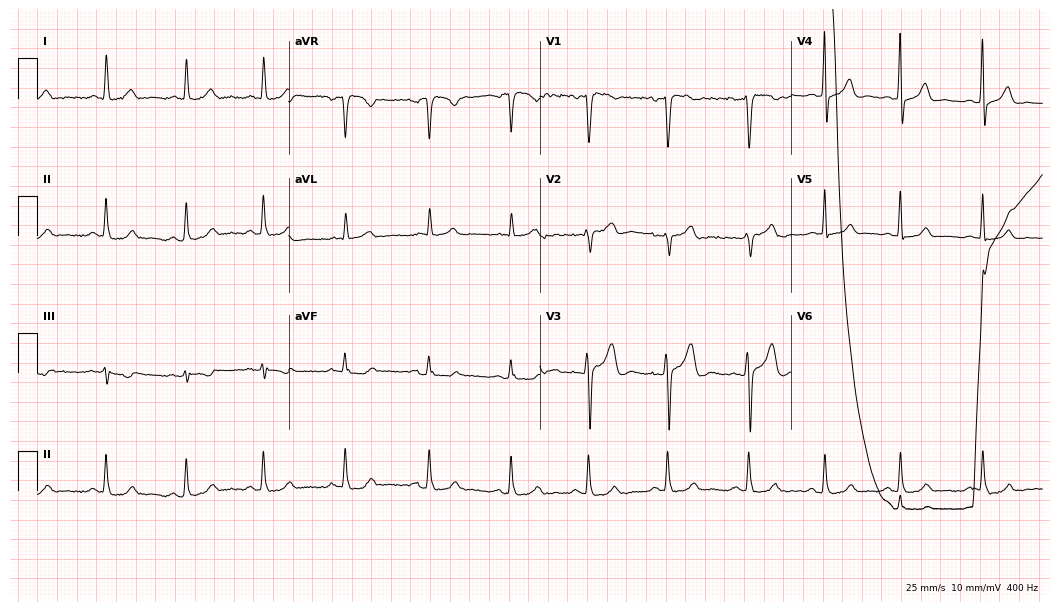
12-lead ECG from a female, 36 years old (10.2-second recording at 400 Hz). Recorded interpretation: within normal limits.